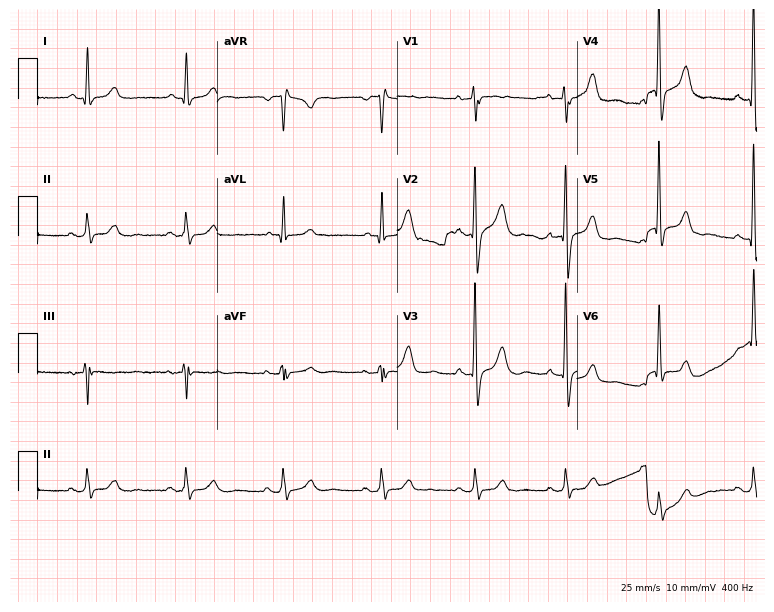
Electrocardiogram, an 80-year-old male patient. Of the six screened findings (first-degree AV block, right bundle branch block (RBBB), left bundle branch block (LBBB), sinus bradycardia, atrial fibrillation (AF), sinus tachycardia), none is recorded. Only these six findings were labelled.